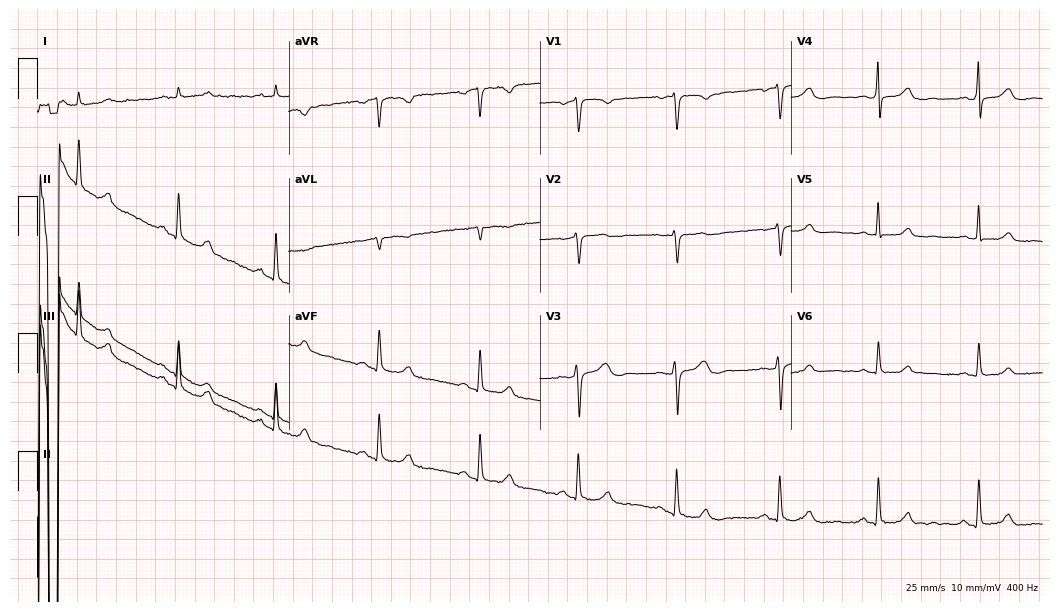
ECG — a 44-year-old female patient. Screened for six findings — first-degree AV block, right bundle branch block (RBBB), left bundle branch block (LBBB), sinus bradycardia, atrial fibrillation (AF), sinus tachycardia — none is recorded. Only these six findings were labelled.